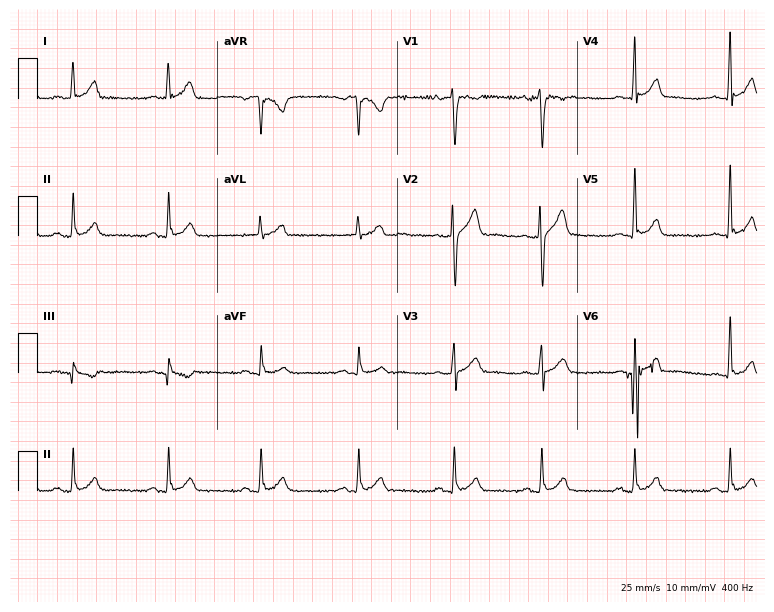
12-lead ECG from a 37-year-old male. Recorded interpretation: within normal limits.